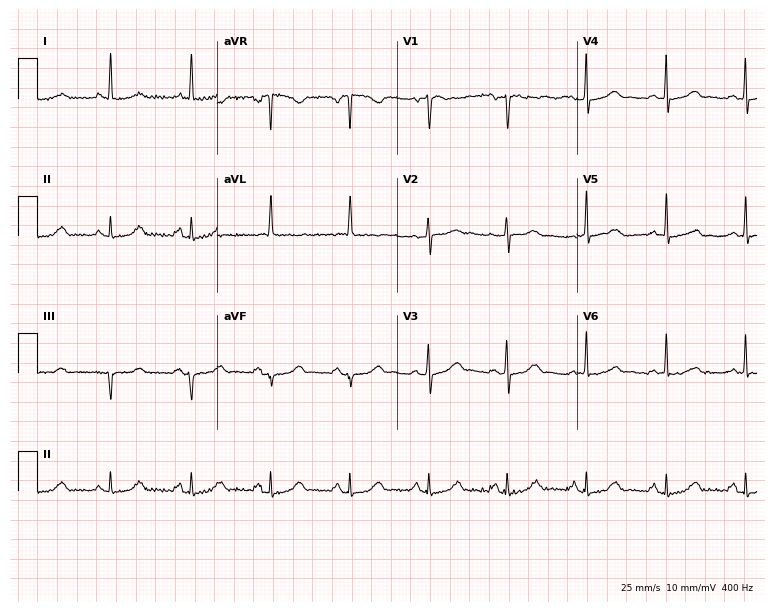
Electrocardiogram (7.3-second recording at 400 Hz), a female, 85 years old. Of the six screened findings (first-degree AV block, right bundle branch block, left bundle branch block, sinus bradycardia, atrial fibrillation, sinus tachycardia), none is recorded. Only these six findings were labelled.